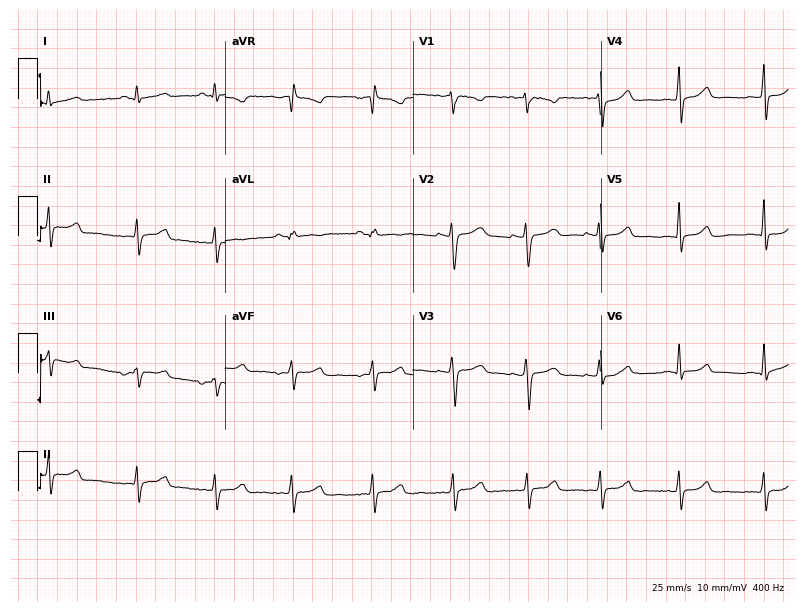
ECG — a 20-year-old female. Screened for six findings — first-degree AV block, right bundle branch block (RBBB), left bundle branch block (LBBB), sinus bradycardia, atrial fibrillation (AF), sinus tachycardia — none is recorded.